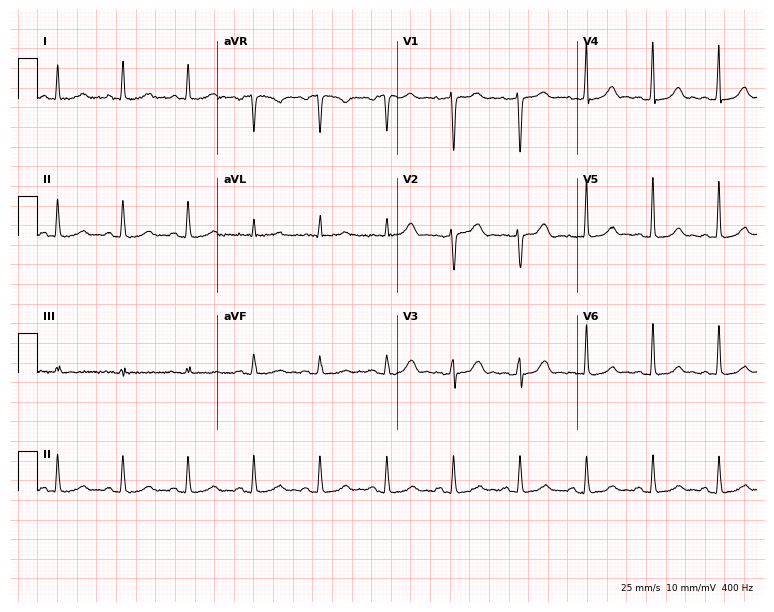
ECG — a 46-year-old female. Labelled as a normal ECG.